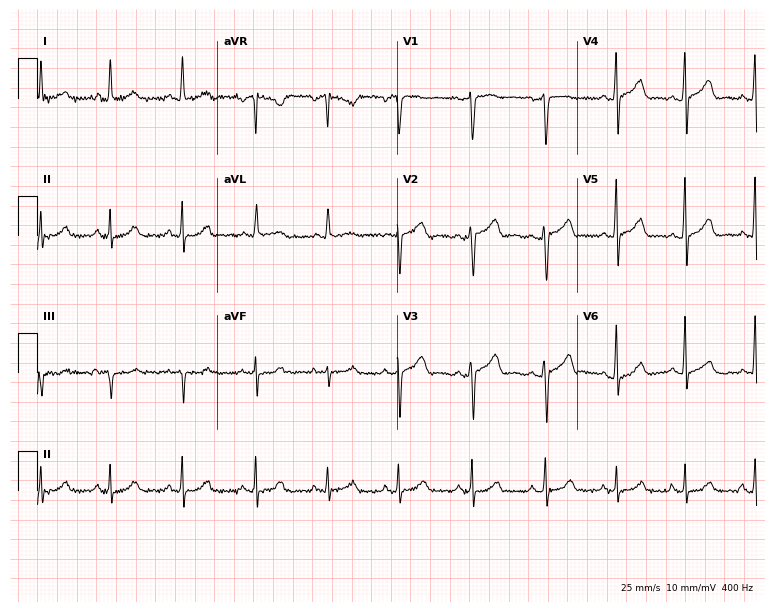
Resting 12-lead electrocardiogram (7.3-second recording at 400 Hz). Patient: a 48-year-old woman. Read as a normal ECG.